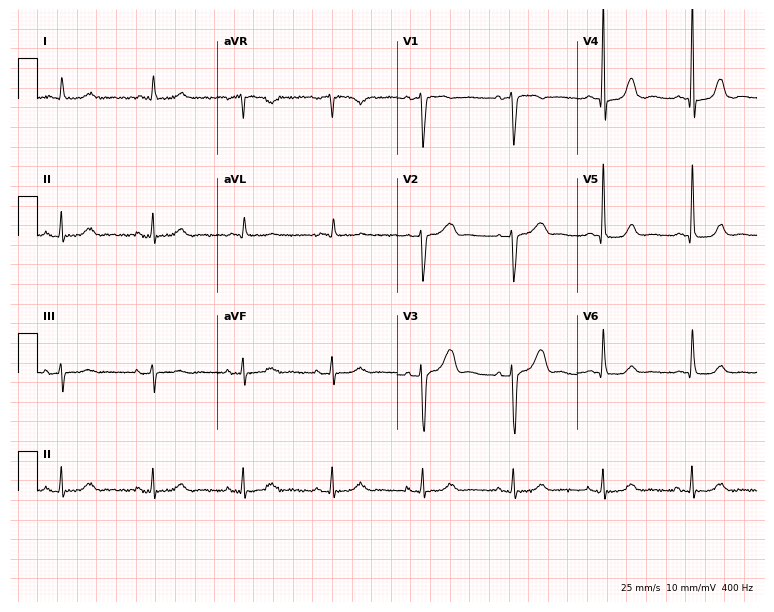
12-lead ECG from a 64-year-old female (7.3-second recording at 400 Hz). No first-degree AV block, right bundle branch block (RBBB), left bundle branch block (LBBB), sinus bradycardia, atrial fibrillation (AF) or sinus tachycardia recorded for this tracing. Findings outside these six are not listed.